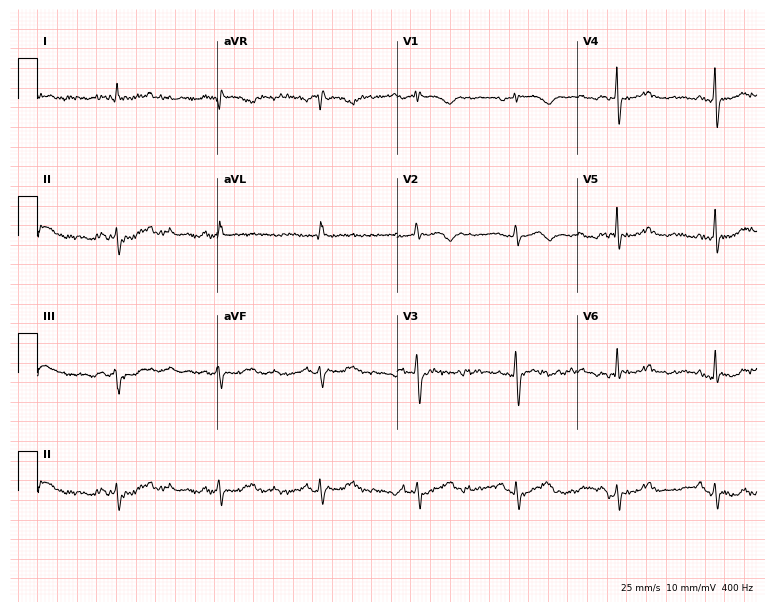
ECG — a woman, 39 years old. Screened for six findings — first-degree AV block, right bundle branch block, left bundle branch block, sinus bradycardia, atrial fibrillation, sinus tachycardia — none is recorded. Only these six findings were labelled.